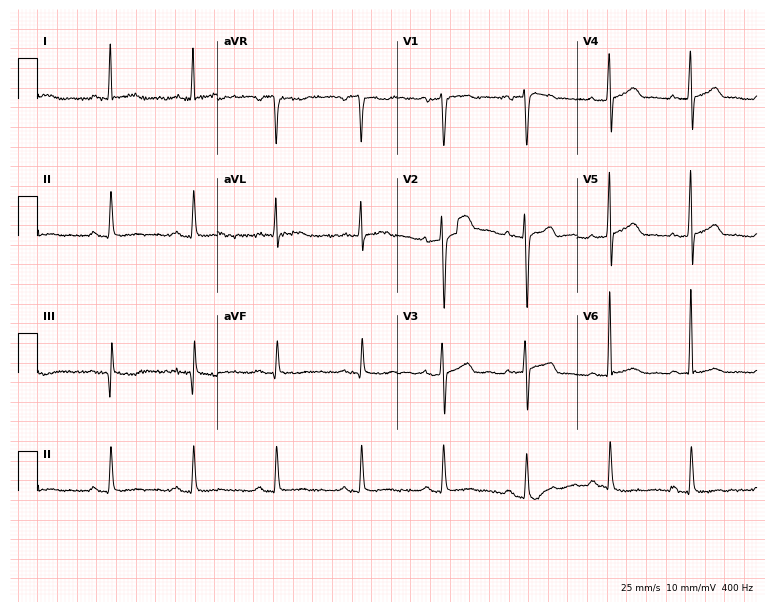
Standard 12-lead ECG recorded from a male patient, 41 years old. None of these six findings is recorded: first-degree AV block, right bundle branch block, left bundle branch block, sinus bradycardia, atrial fibrillation, sinus tachycardia. Only these six findings were labelled.